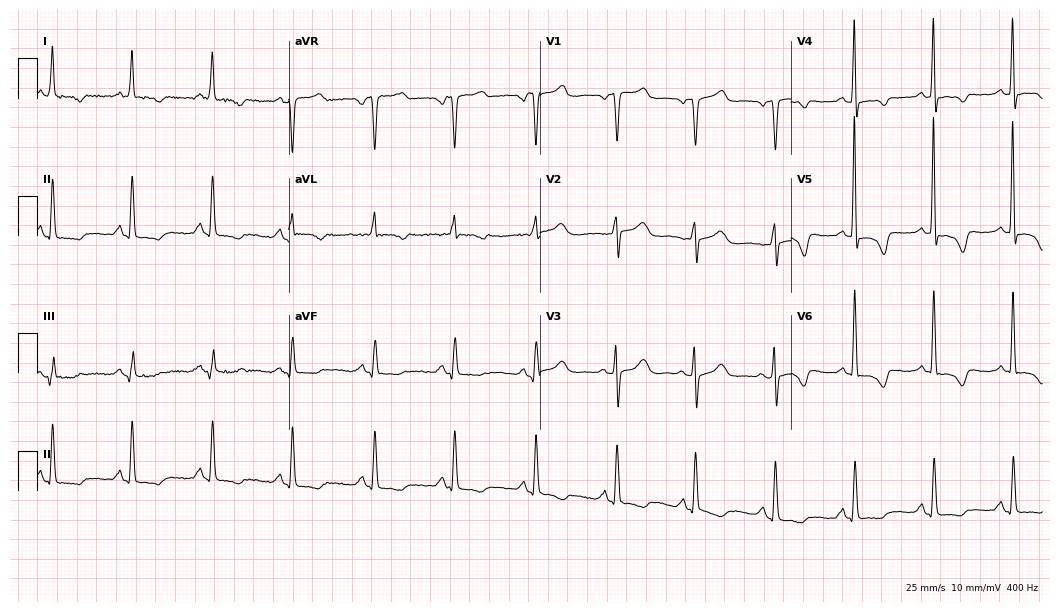
Resting 12-lead electrocardiogram (10.2-second recording at 400 Hz). Patient: a 62-year-old female. None of these six findings is recorded: first-degree AV block, right bundle branch block, left bundle branch block, sinus bradycardia, atrial fibrillation, sinus tachycardia. Findings outside these six are not listed.